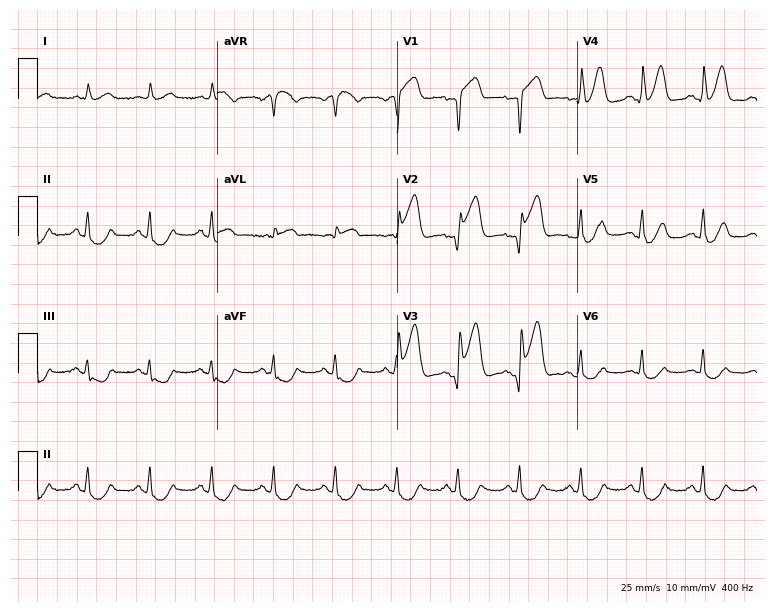
Standard 12-lead ECG recorded from a 63-year-old male patient (7.3-second recording at 400 Hz). None of these six findings is recorded: first-degree AV block, right bundle branch block (RBBB), left bundle branch block (LBBB), sinus bradycardia, atrial fibrillation (AF), sinus tachycardia. Findings outside these six are not listed.